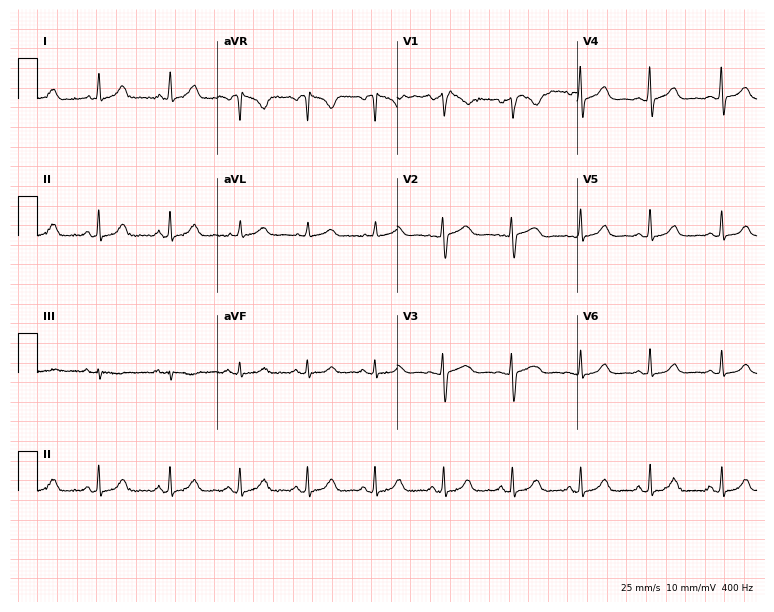
ECG — a female, 27 years old. Labelled as a normal ECG.